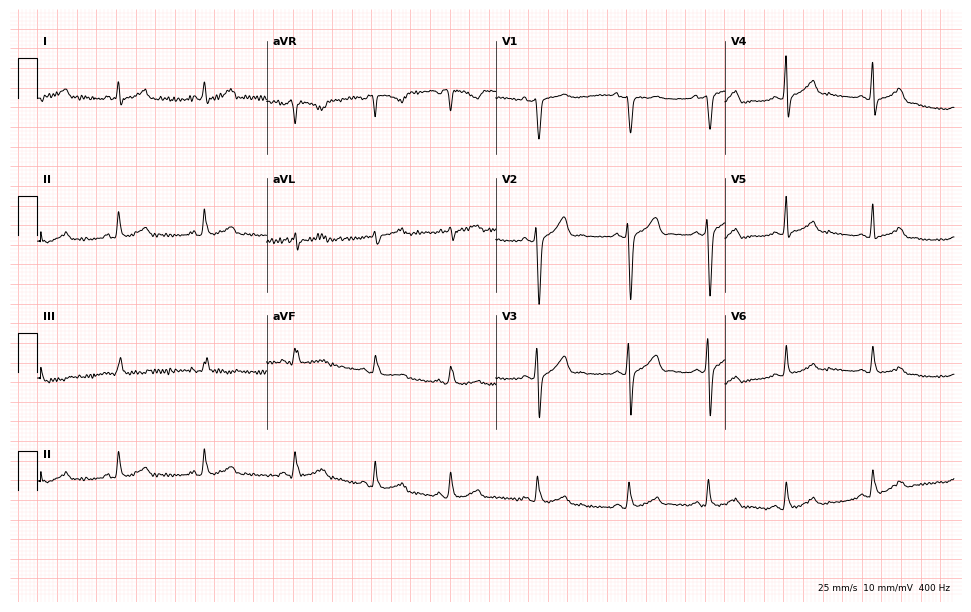
Resting 12-lead electrocardiogram. Patient: a woman, 41 years old. None of these six findings is recorded: first-degree AV block, right bundle branch block, left bundle branch block, sinus bradycardia, atrial fibrillation, sinus tachycardia. Findings outside these six are not listed.